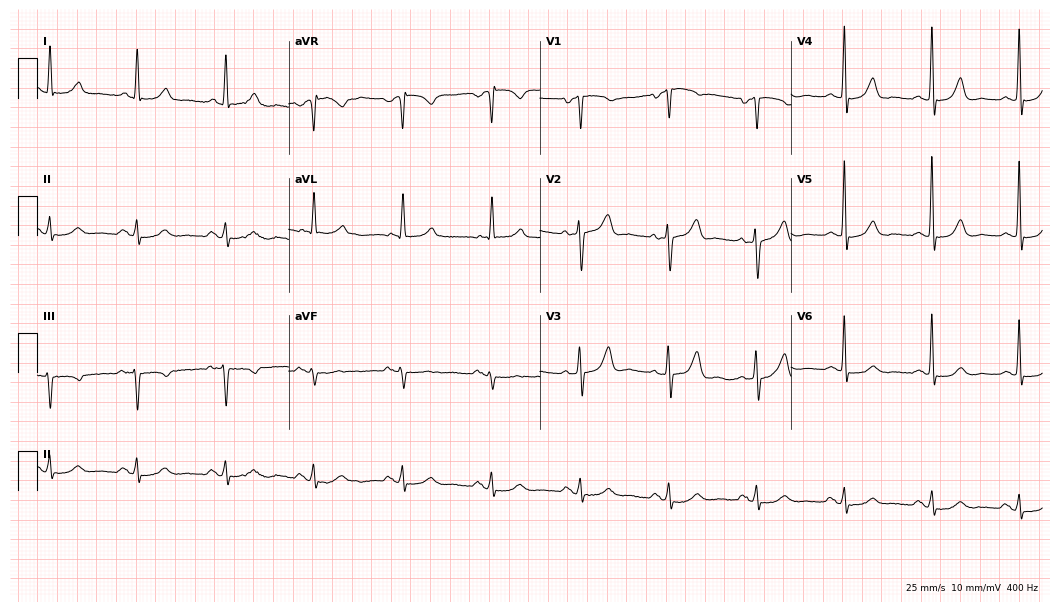
ECG — a male patient, 83 years old. Labelled as a normal ECG.